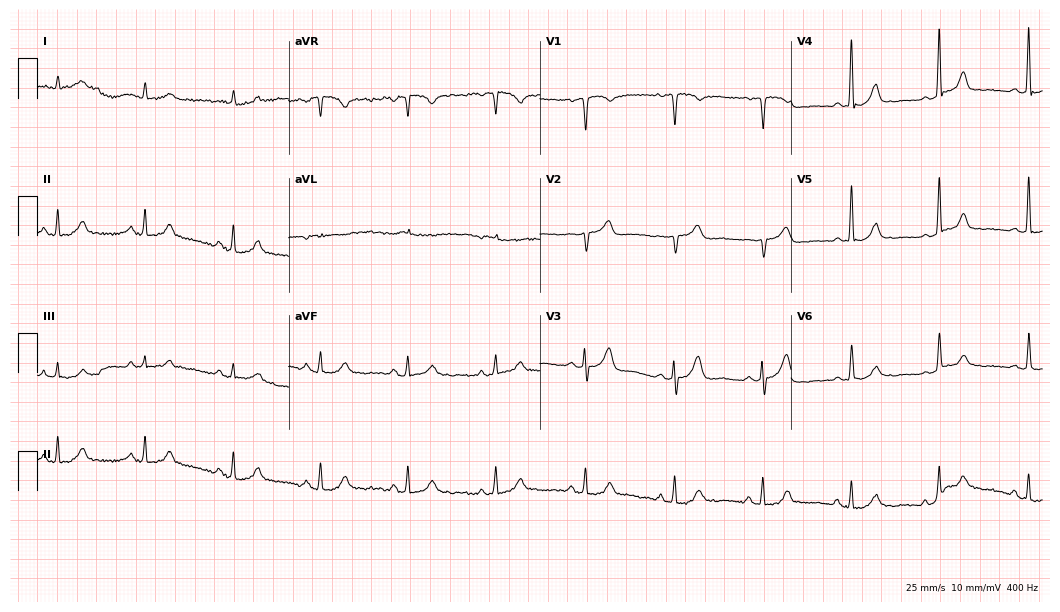
Electrocardiogram (10.2-second recording at 400 Hz), a woman, 85 years old. Overall reading on record: normal ECG.